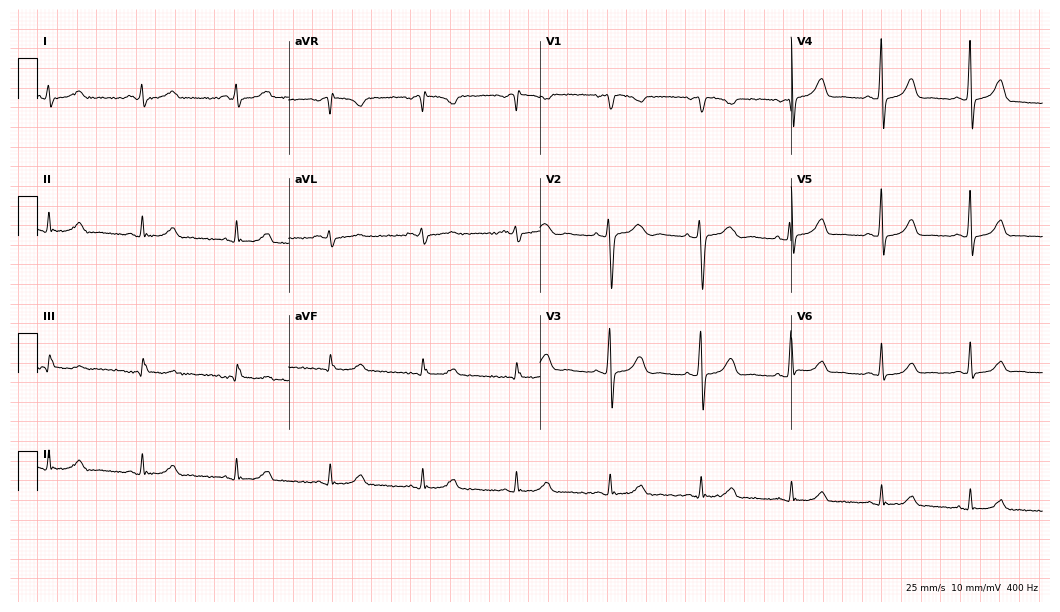
Electrocardiogram, a female, 36 years old. Of the six screened findings (first-degree AV block, right bundle branch block, left bundle branch block, sinus bradycardia, atrial fibrillation, sinus tachycardia), none is recorded. Findings outside these six are not listed.